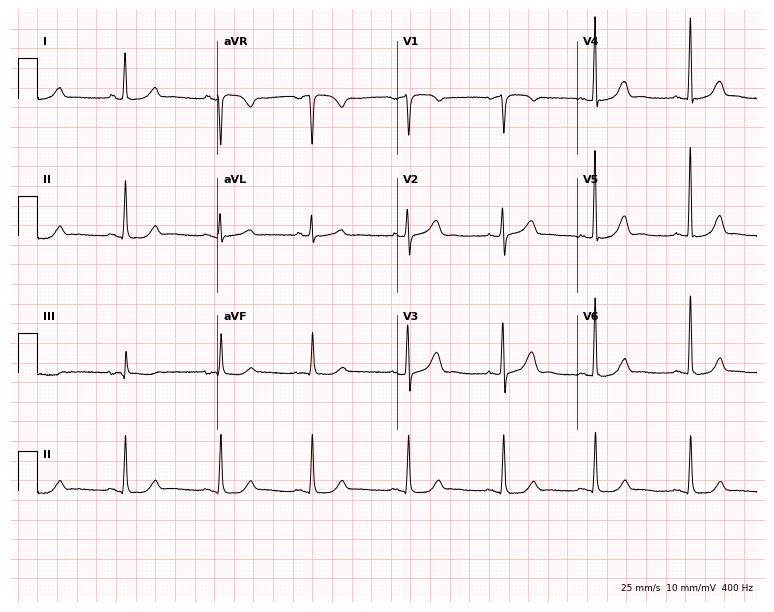
Electrocardiogram (7.3-second recording at 400 Hz), a 69-year-old female. Overall reading on record: normal ECG.